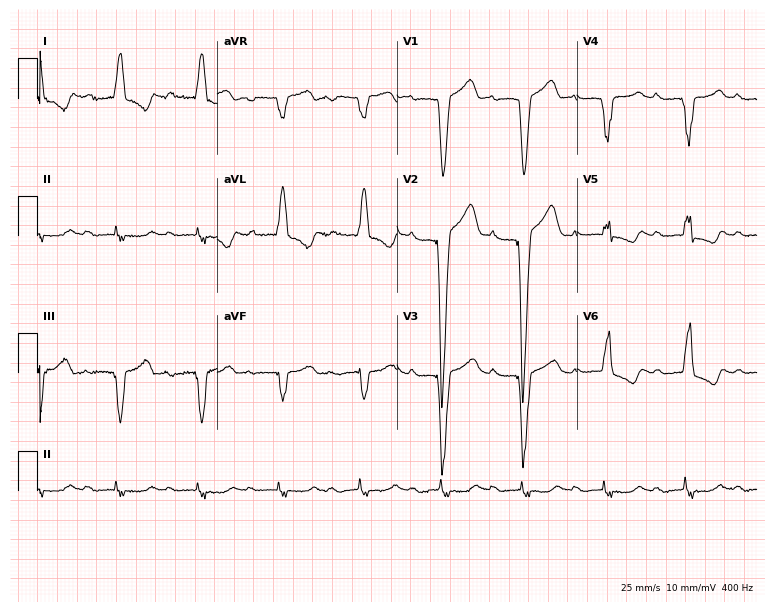
12-lead ECG from a female patient, 79 years old (7.3-second recording at 400 Hz). Shows first-degree AV block, left bundle branch block.